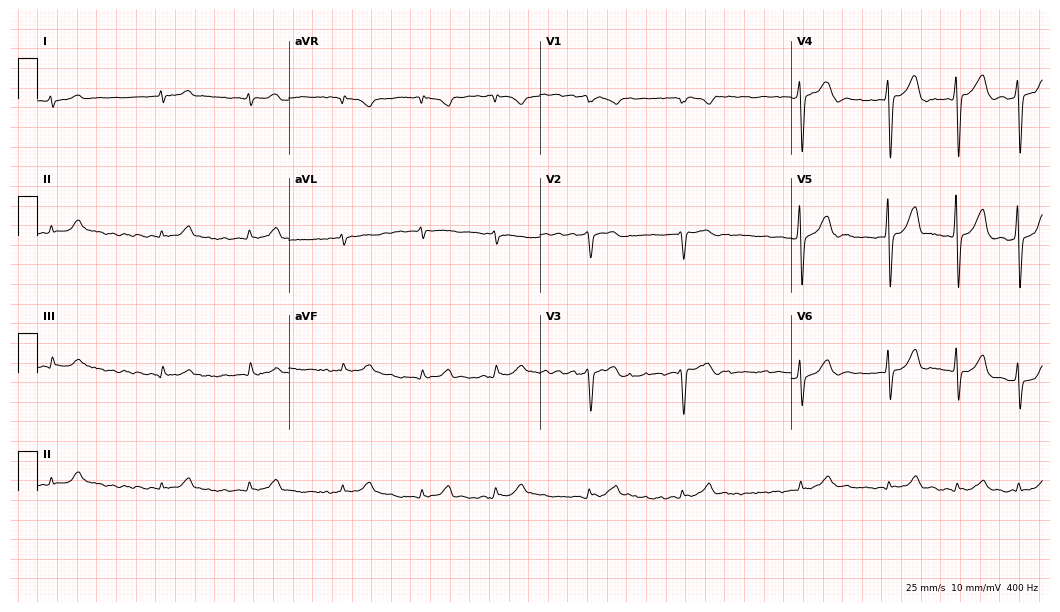
Electrocardiogram (10.2-second recording at 400 Hz), a 76-year-old male. Interpretation includes atrial fibrillation (AF).